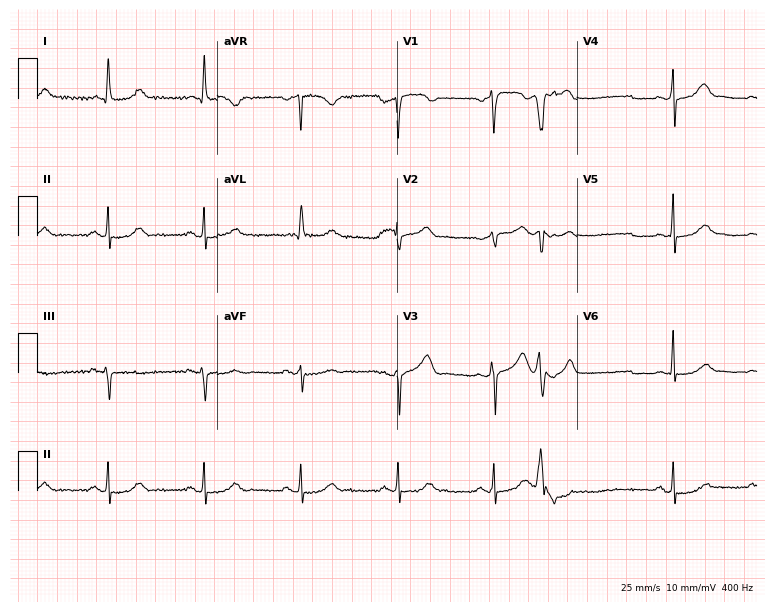
Electrocardiogram (7.3-second recording at 400 Hz), a man, 80 years old. Overall reading on record: normal ECG.